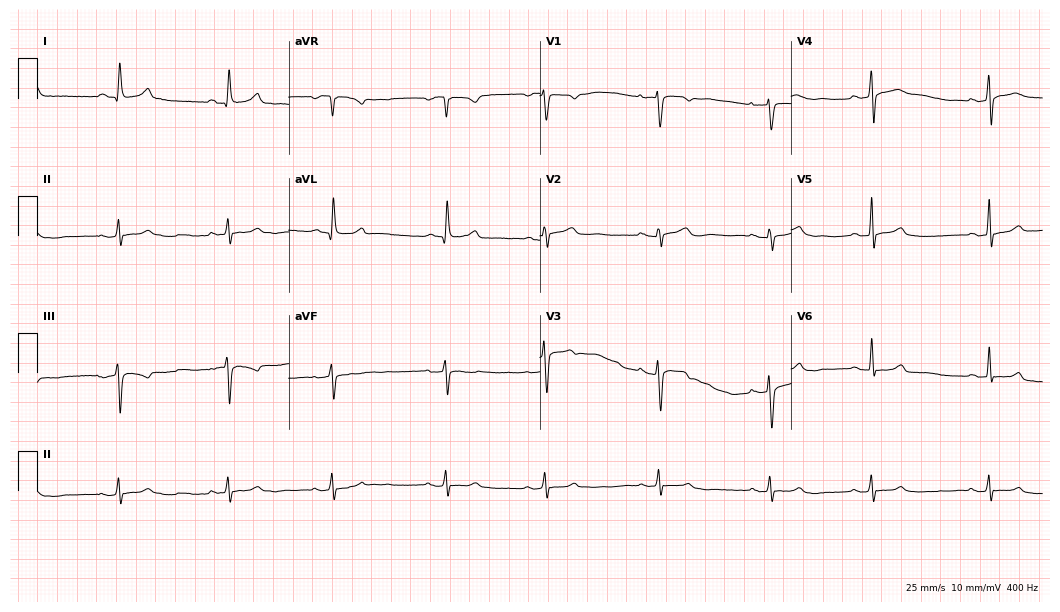
ECG (10.2-second recording at 400 Hz) — a female patient, 45 years old. Labelled as a normal ECG.